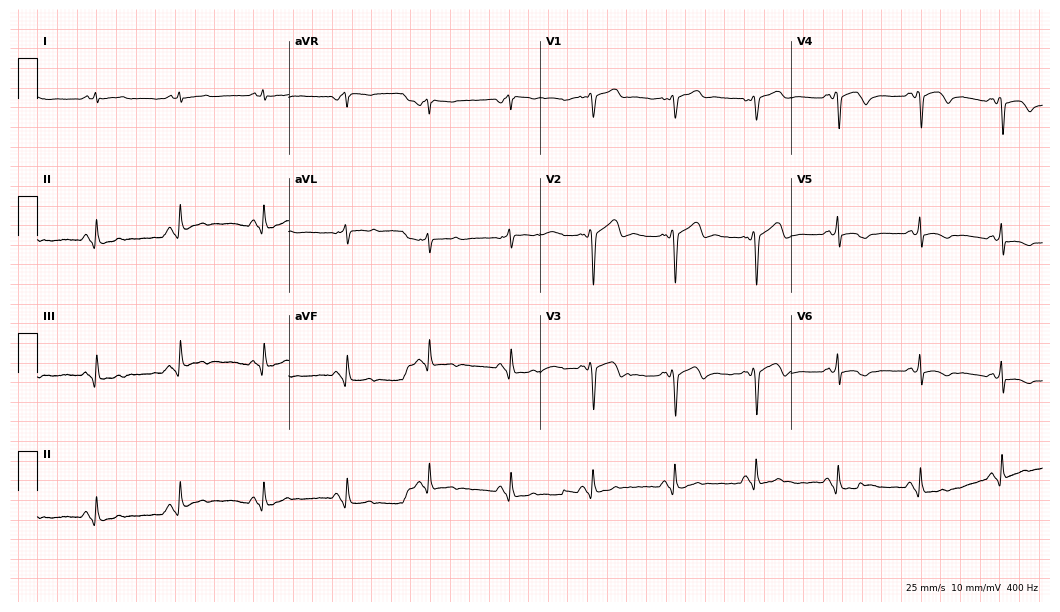
ECG — a 78-year-old male. Screened for six findings — first-degree AV block, right bundle branch block (RBBB), left bundle branch block (LBBB), sinus bradycardia, atrial fibrillation (AF), sinus tachycardia — none is recorded. Only these six findings were labelled.